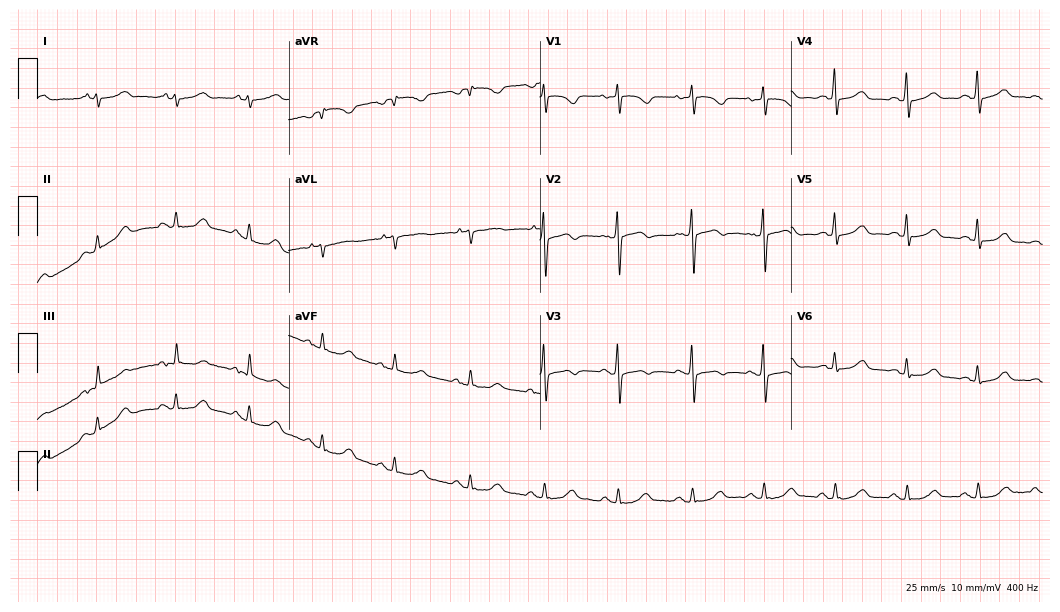
Resting 12-lead electrocardiogram (10.2-second recording at 400 Hz). Patient: a 63-year-old female. Read as a normal ECG.